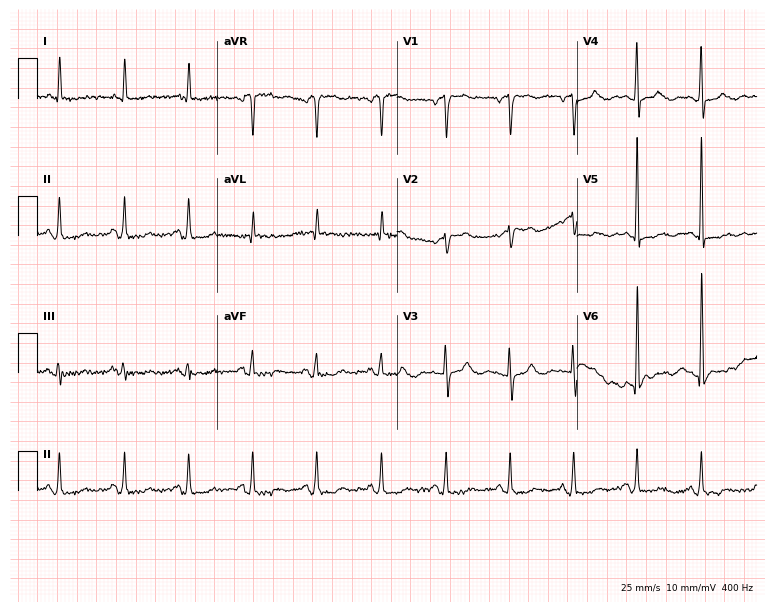
ECG — an 83-year-old female. Screened for six findings — first-degree AV block, right bundle branch block (RBBB), left bundle branch block (LBBB), sinus bradycardia, atrial fibrillation (AF), sinus tachycardia — none is recorded. Only these six findings were labelled.